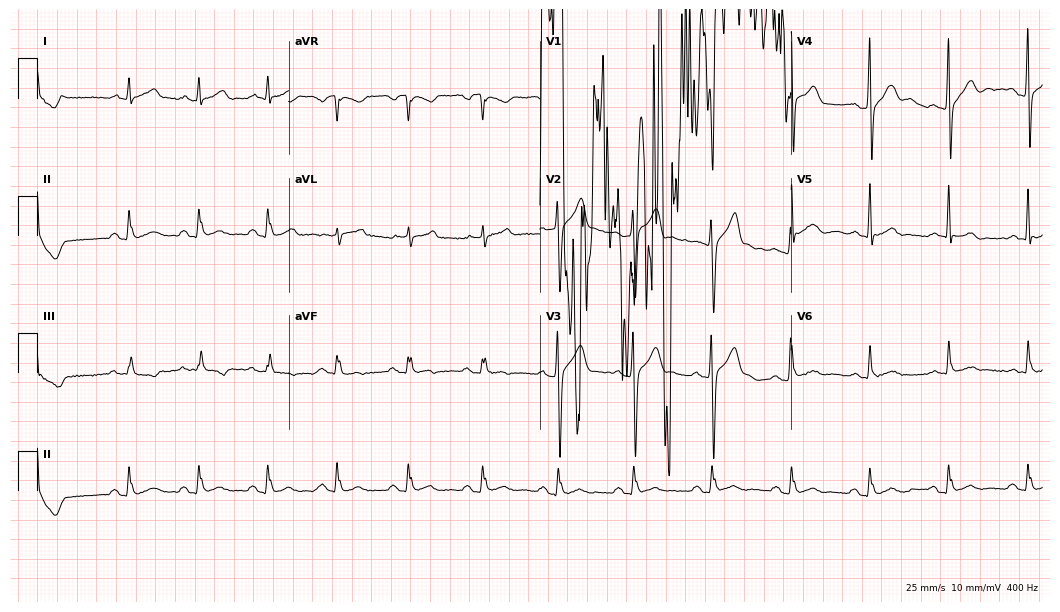
12-lead ECG (10.2-second recording at 400 Hz) from a 57-year-old male patient. Screened for six findings — first-degree AV block, right bundle branch block, left bundle branch block, sinus bradycardia, atrial fibrillation, sinus tachycardia — none is recorded. Other findings, if any, are not listed.